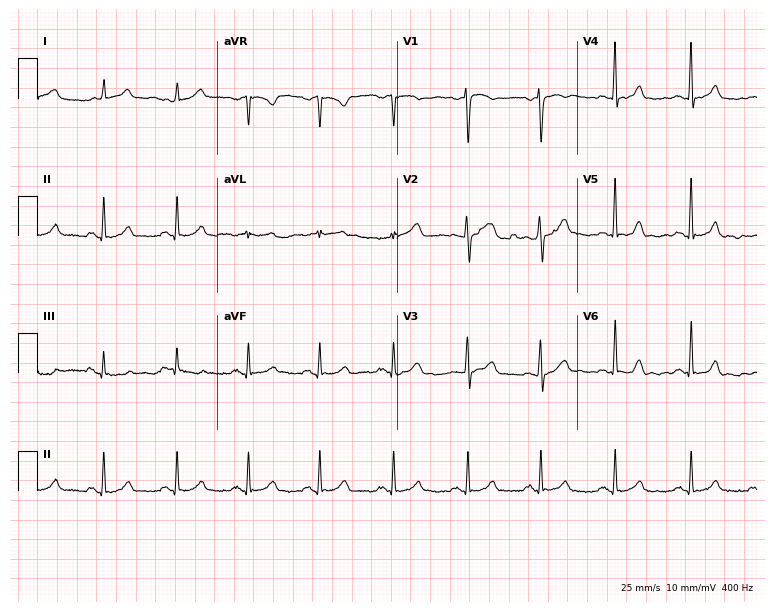
12-lead ECG from a female, 37 years old. Recorded interpretation: within normal limits.